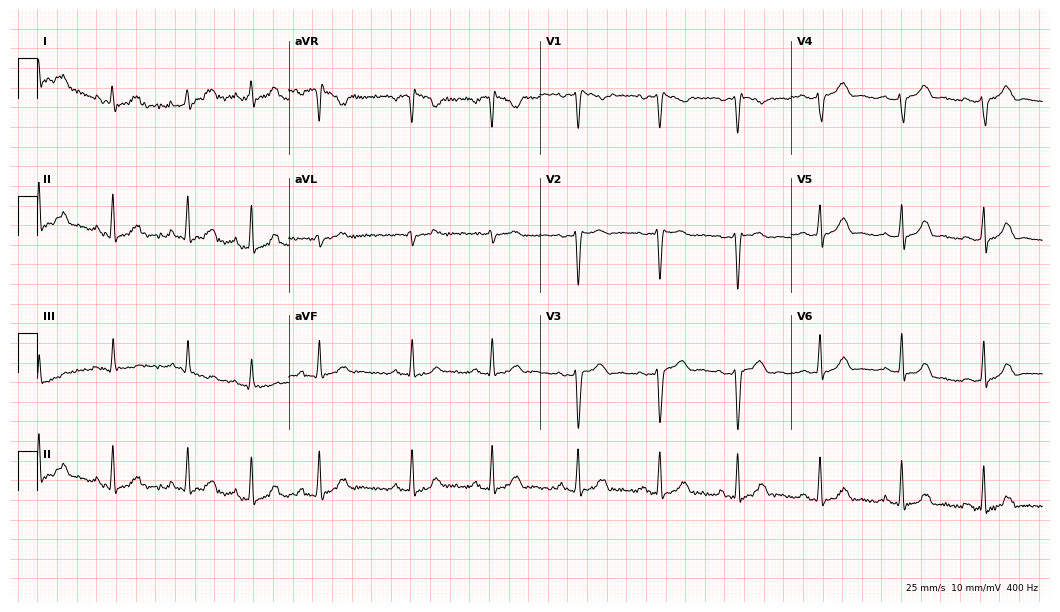
12-lead ECG from a 25-year-old female. No first-degree AV block, right bundle branch block, left bundle branch block, sinus bradycardia, atrial fibrillation or sinus tachycardia recorded for this tracing.